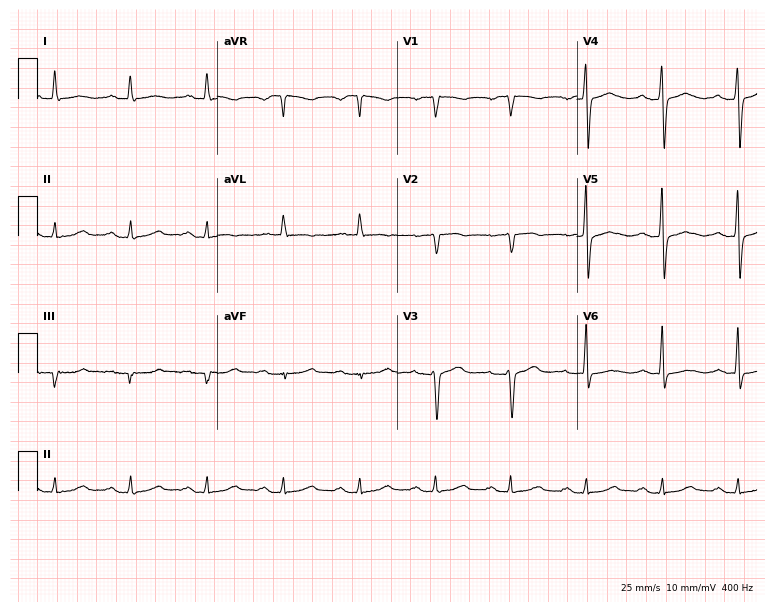
Resting 12-lead electrocardiogram (7.3-second recording at 400 Hz). Patient: a 65-year-old female. Read as a normal ECG.